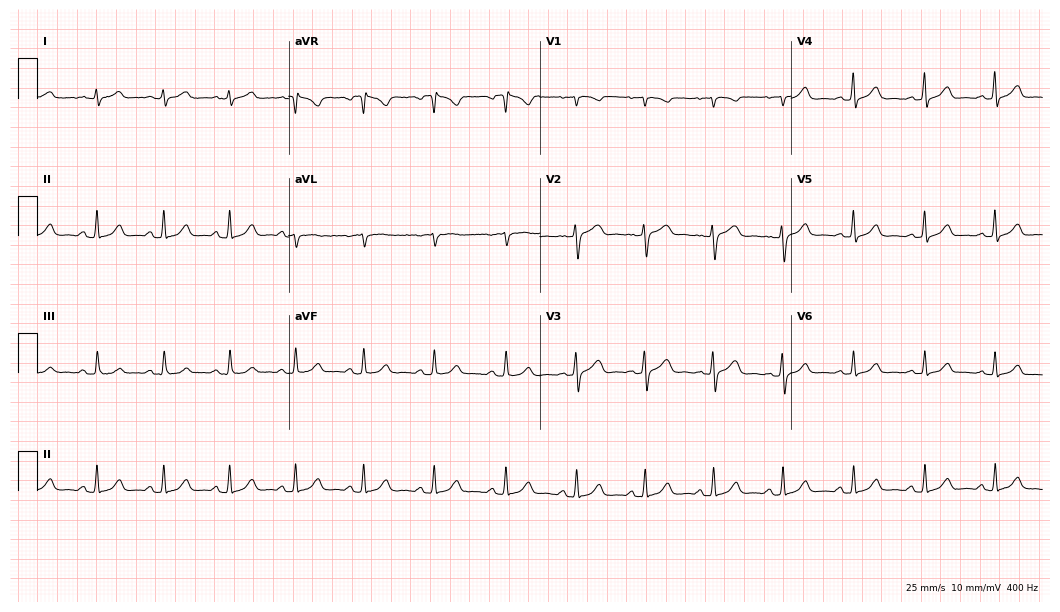
12-lead ECG (10.2-second recording at 400 Hz) from a 48-year-old female. Labelled as a normal ECG.